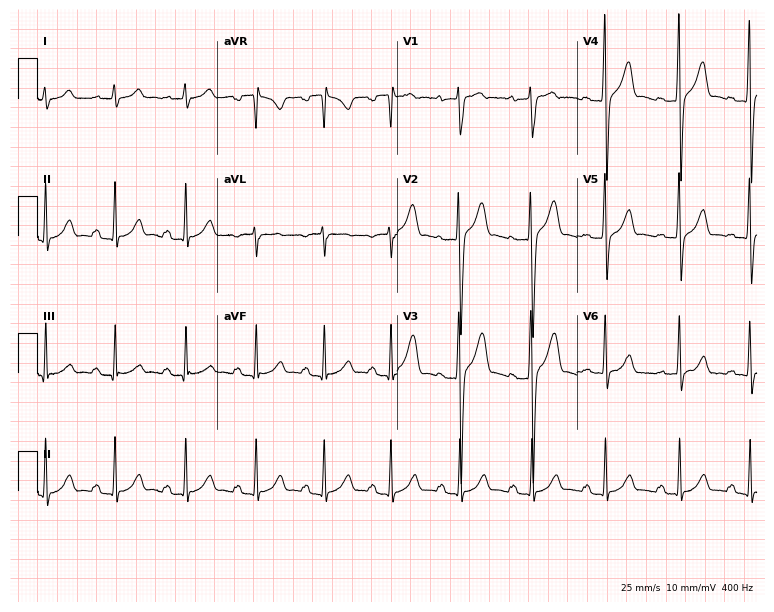
Electrocardiogram (7.3-second recording at 400 Hz), a 23-year-old male patient. Of the six screened findings (first-degree AV block, right bundle branch block, left bundle branch block, sinus bradycardia, atrial fibrillation, sinus tachycardia), none is recorded.